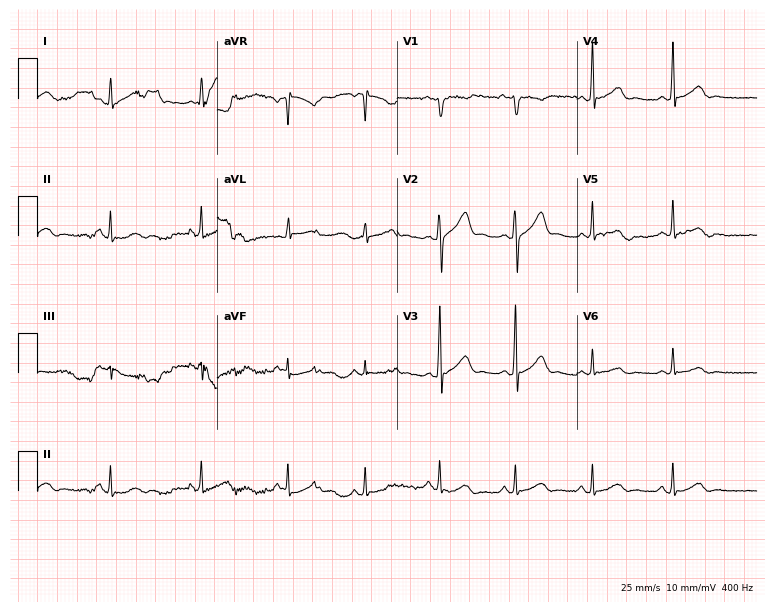
Resting 12-lead electrocardiogram (7.3-second recording at 400 Hz). Patient: a male, 19 years old. Read as a normal ECG.